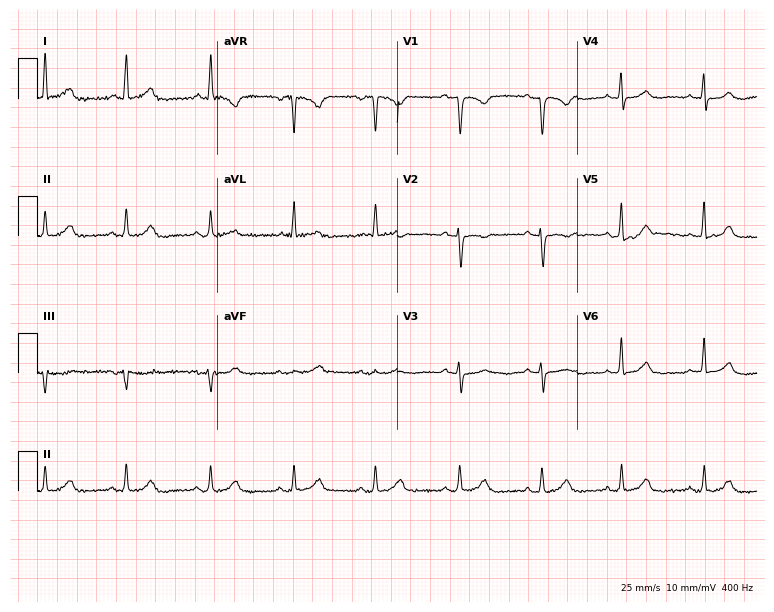
Electrocardiogram (7.3-second recording at 400 Hz), a female patient, 65 years old. Overall reading on record: normal ECG.